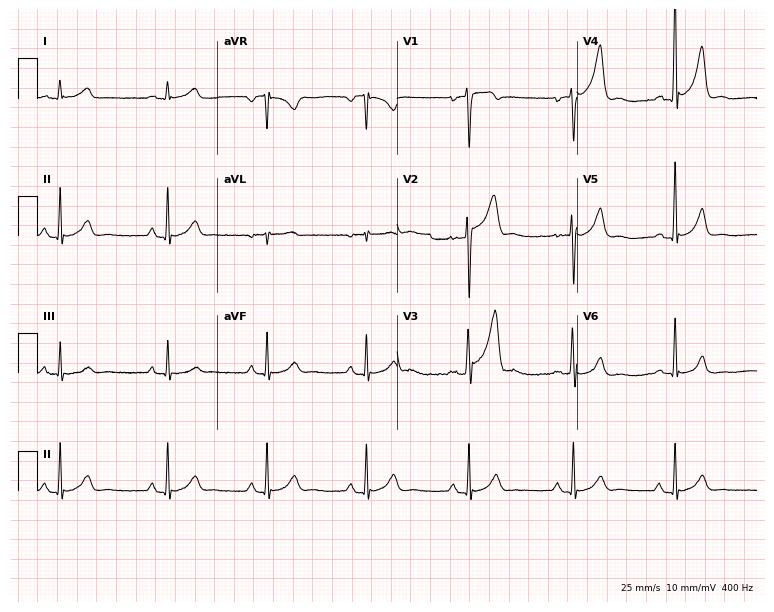
Standard 12-lead ECG recorded from a male, 31 years old. None of these six findings is recorded: first-degree AV block, right bundle branch block, left bundle branch block, sinus bradycardia, atrial fibrillation, sinus tachycardia. Only these six findings were labelled.